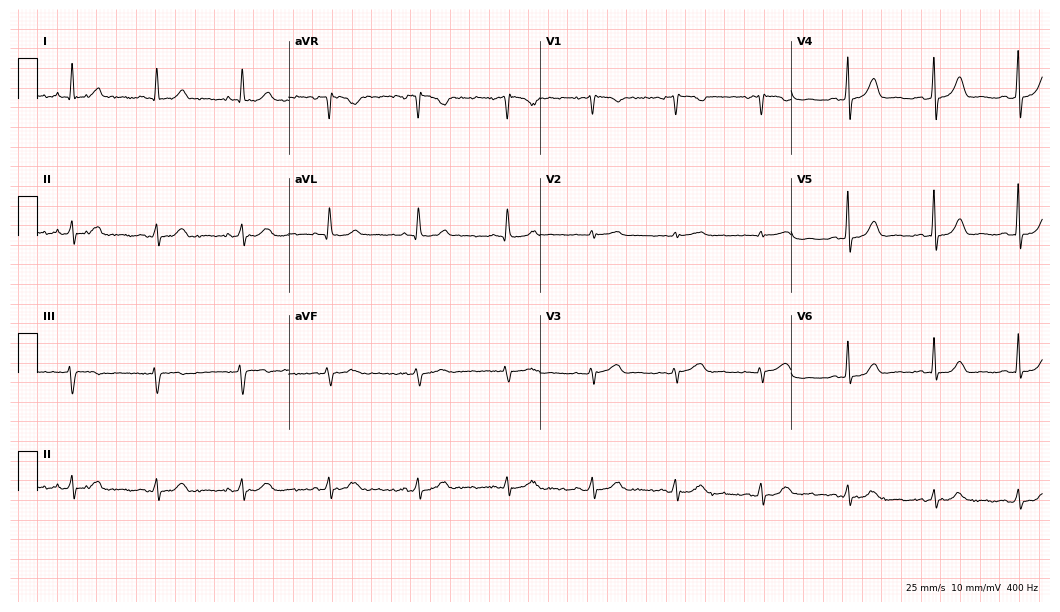
Standard 12-lead ECG recorded from a female patient, 53 years old (10.2-second recording at 400 Hz). Read as a normal ECG.